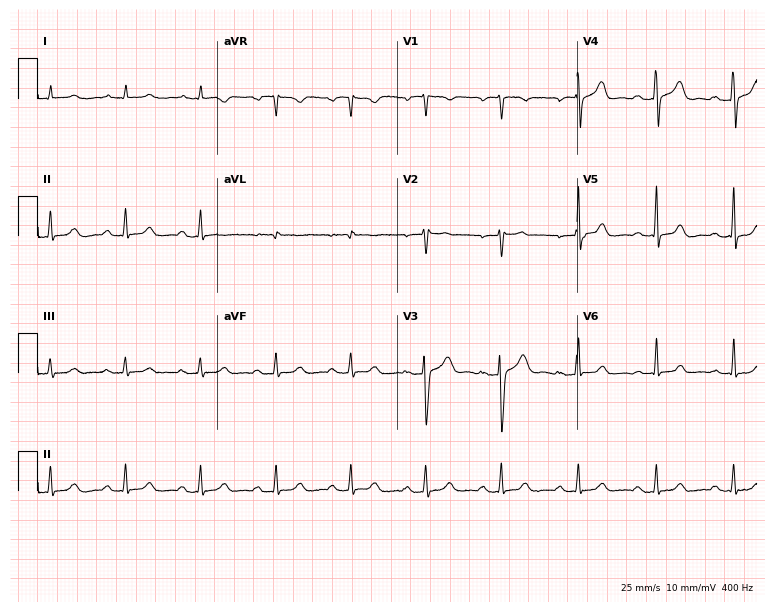
Resting 12-lead electrocardiogram (7.3-second recording at 400 Hz). Patient: a woman, 41 years old. Read as a normal ECG.